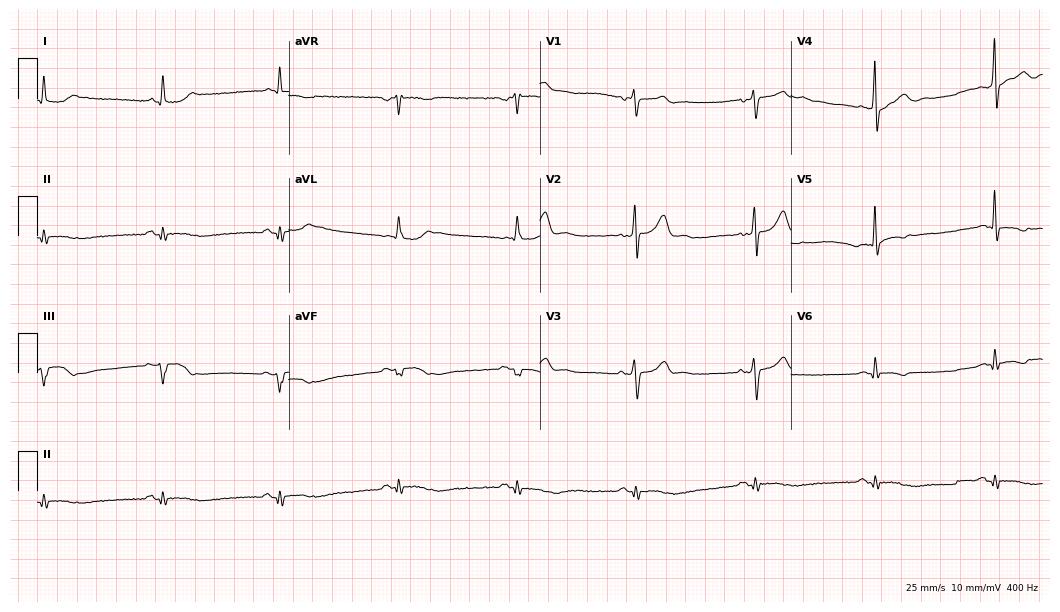
Standard 12-lead ECG recorded from a 68-year-old male patient. None of these six findings is recorded: first-degree AV block, right bundle branch block, left bundle branch block, sinus bradycardia, atrial fibrillation, sinus tachycardia. Only these six findings were labelled.